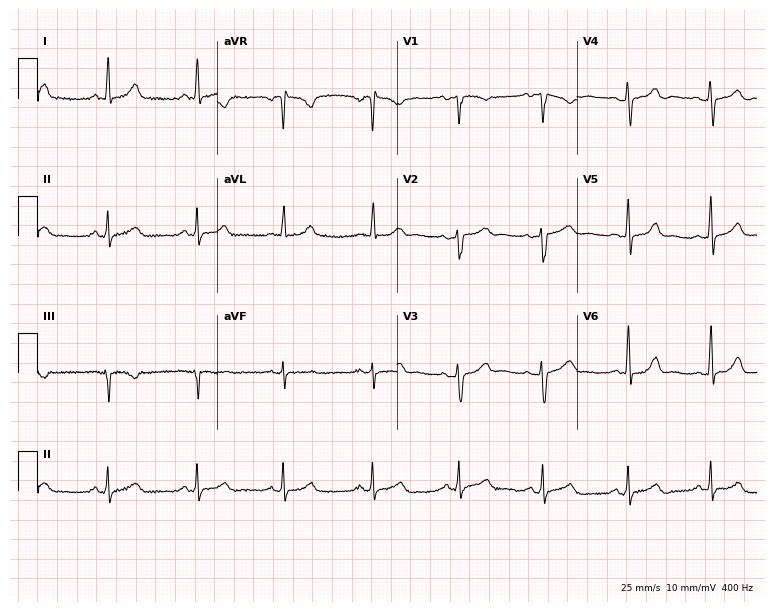
ECG — a female, 46 years old. Labelled as a normal ECG.